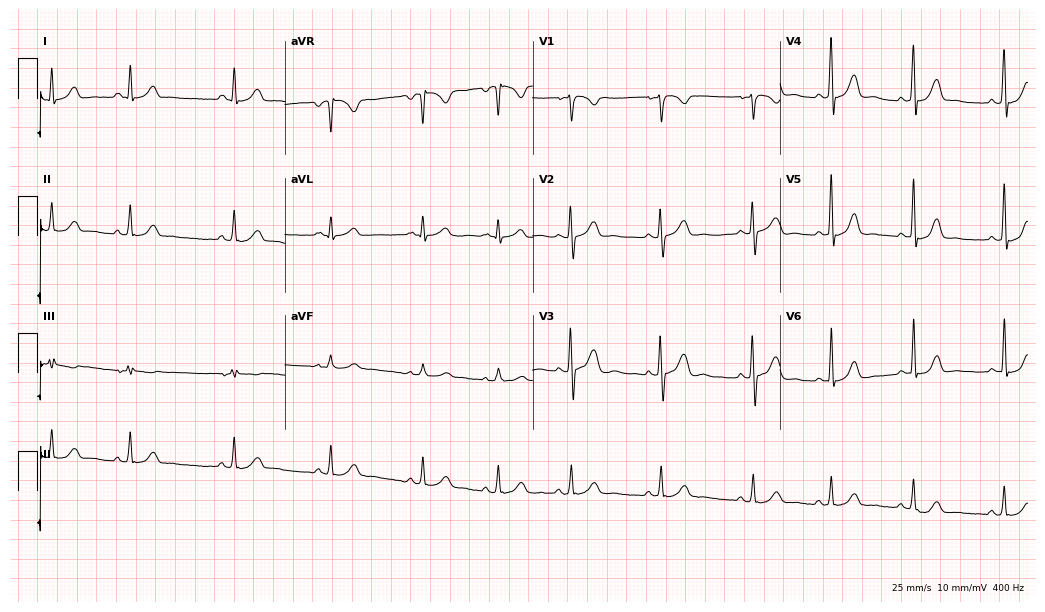
12-lead ECG from an 18-year-old female (10.1-second recording at 400 Hz). Recorded interpretation: within normal limits.